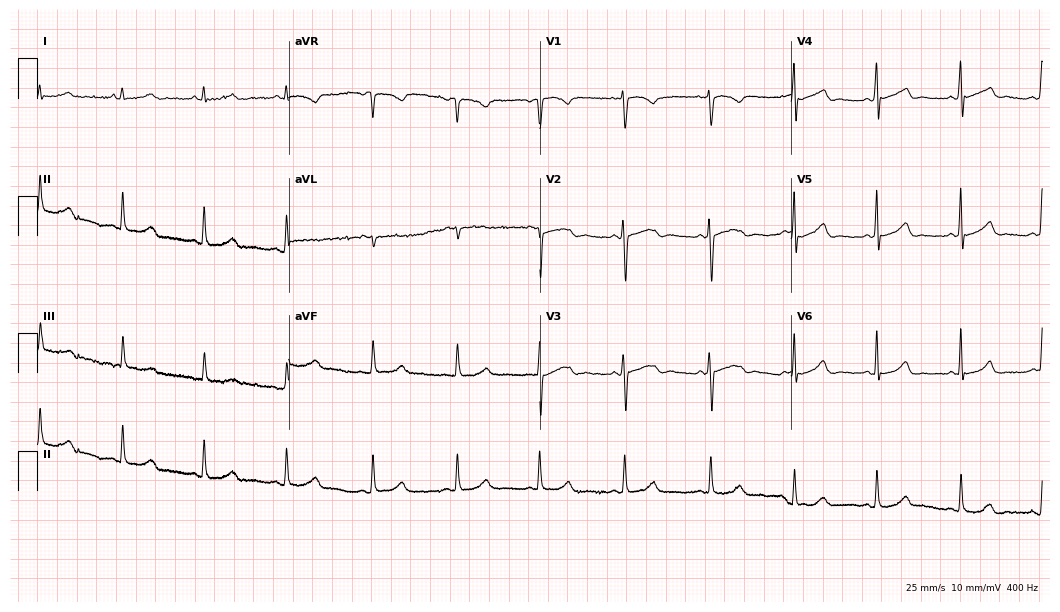
Standard 12-lead ECG recorded from a female, 17 years old (10.2-second recording at 400 Hz). Read as a normal ECG.